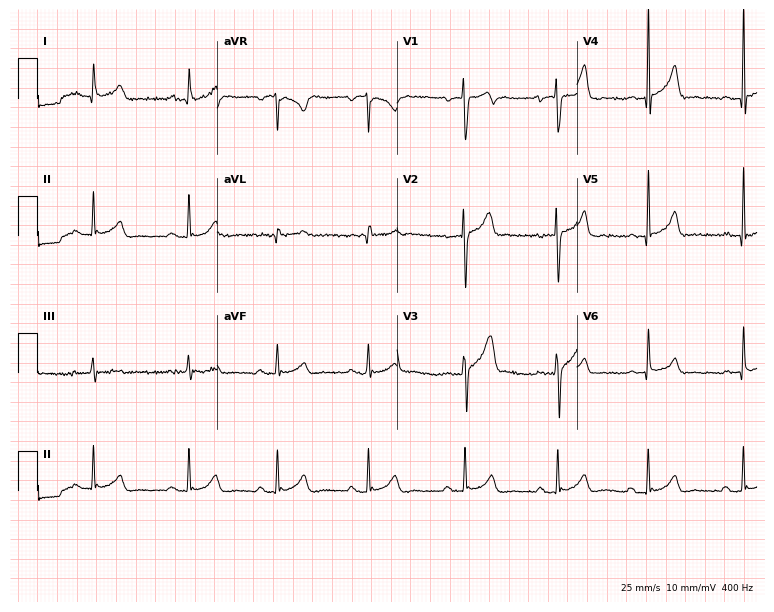
12-lead ECG from a male, 32 years old. Recorded interpretation: within normal limits.